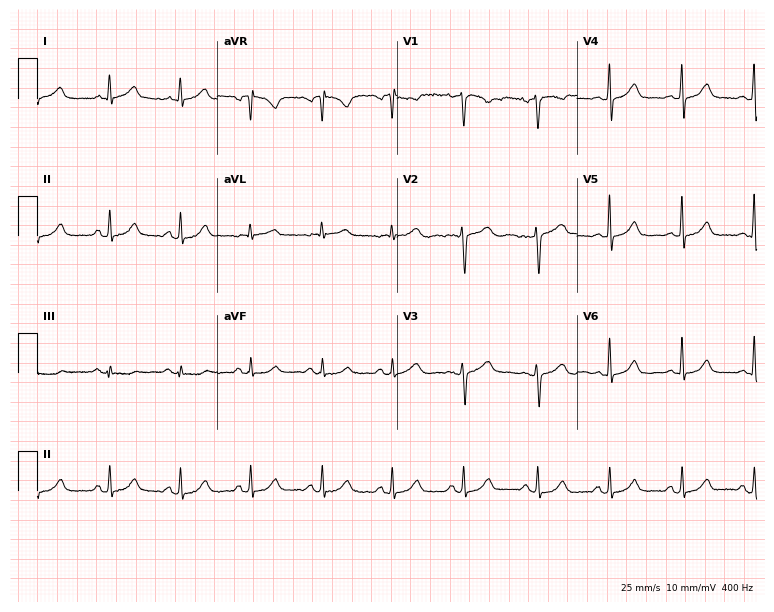
Standard 12-lead ECG recorded from a woman, 37 years old. None of these six findings is recorded: first-degree AV block, right bundle branch block (RBBB), left bundle branch block (LBBB), sinus bradycardia, atrial fibrillation (AF), sinus tachycardia. Only these six findings were labelled.